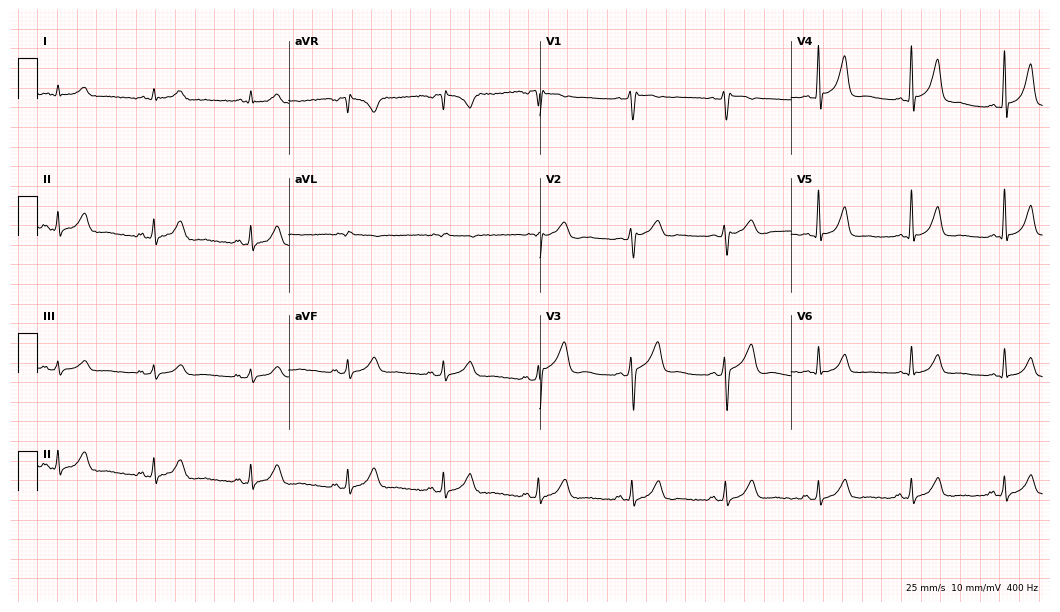
Resting 12-lead electrocardiogram (10.2-second recording at 400 Hz). Patient: a man, 64 years old. Read as a normal ECG.